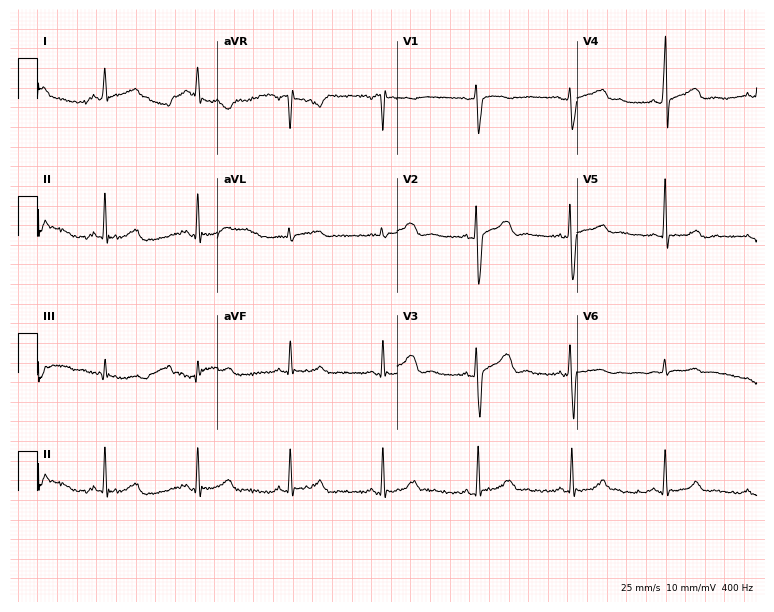
Electrocardiogram, a 34-year-old male. Overall reading on record: normal ECG.